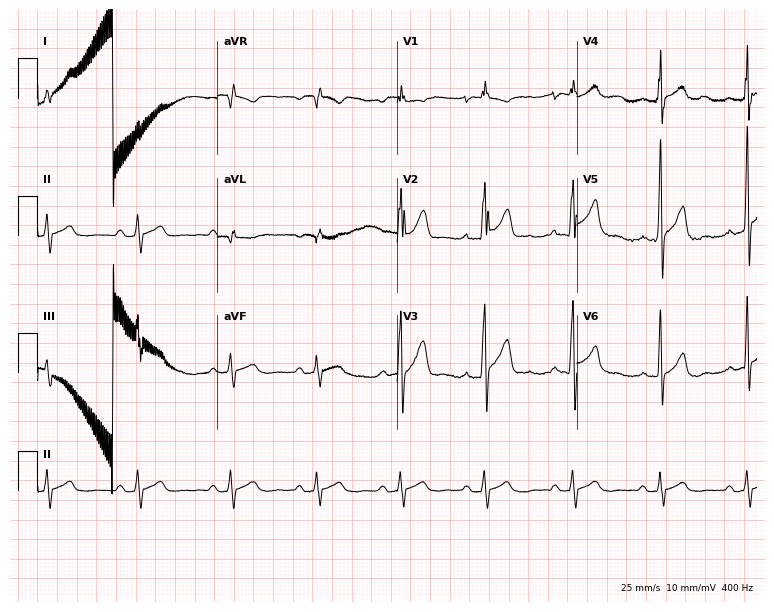
Electrocardiogram (7.3-second recording at 400 Hz), a man, 20 years old. Of the six screened findings (first-degree AV block, right bundle branch block, left bundle branch block, sinus bradycardia, atrial fibrillation, sinus tachycardia), none is recorded.